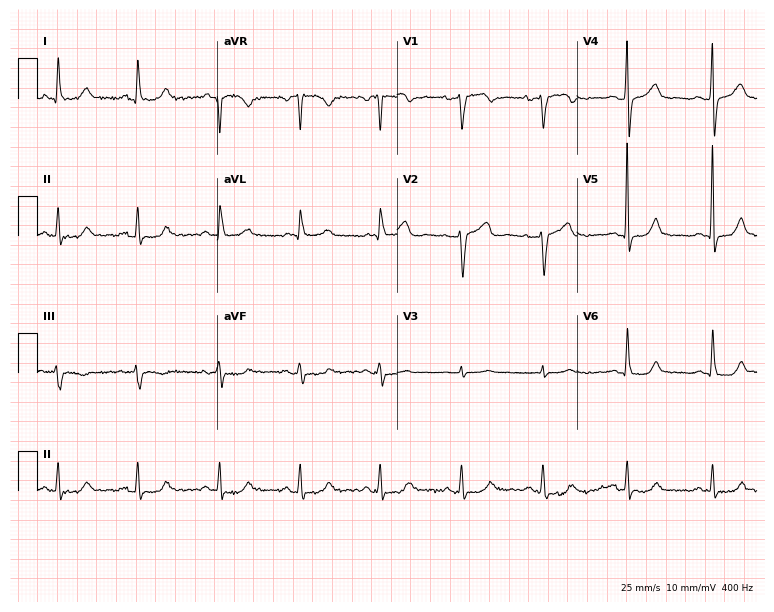
ECG — a female patient, 54 years old. Screened for six findings — first-degree AV block, right bundle branch block, left bundle branch block, sinus bradycardia, atrial fibrillation, sinus tachycardia — none is recorded. Other findings, if any, are not listed.